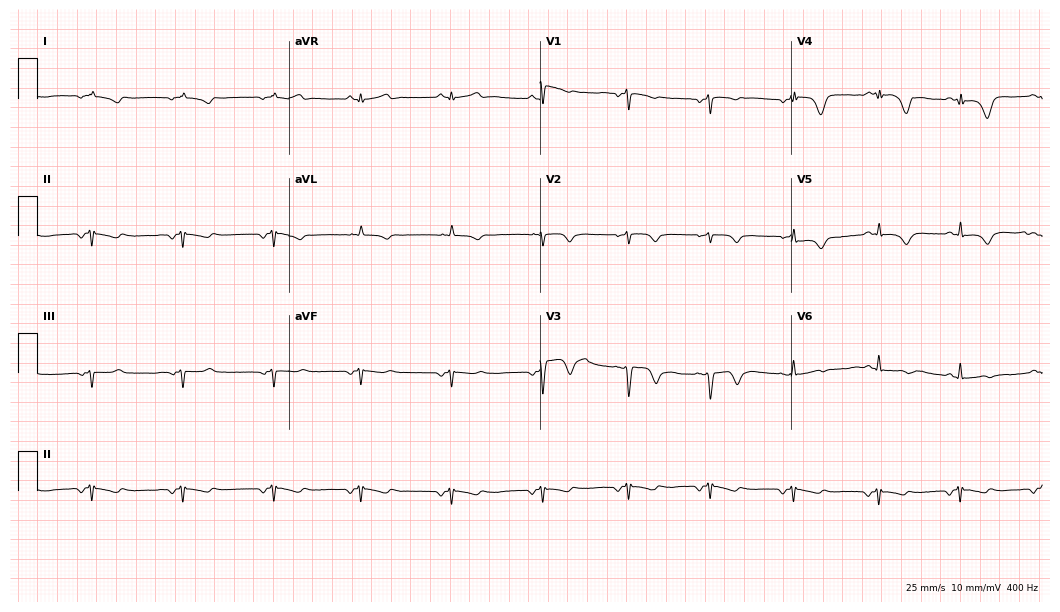
ECG (10.2-second recording at 400 Hz) — a 38-year-old woman. Screened for six findings — first-degree AV block, right bundle branch block (RBBB), left bundle branch block (LBBB), sinus bradycardia, atrial fibrillation (AF), sinus tachycardia — none is recorded.